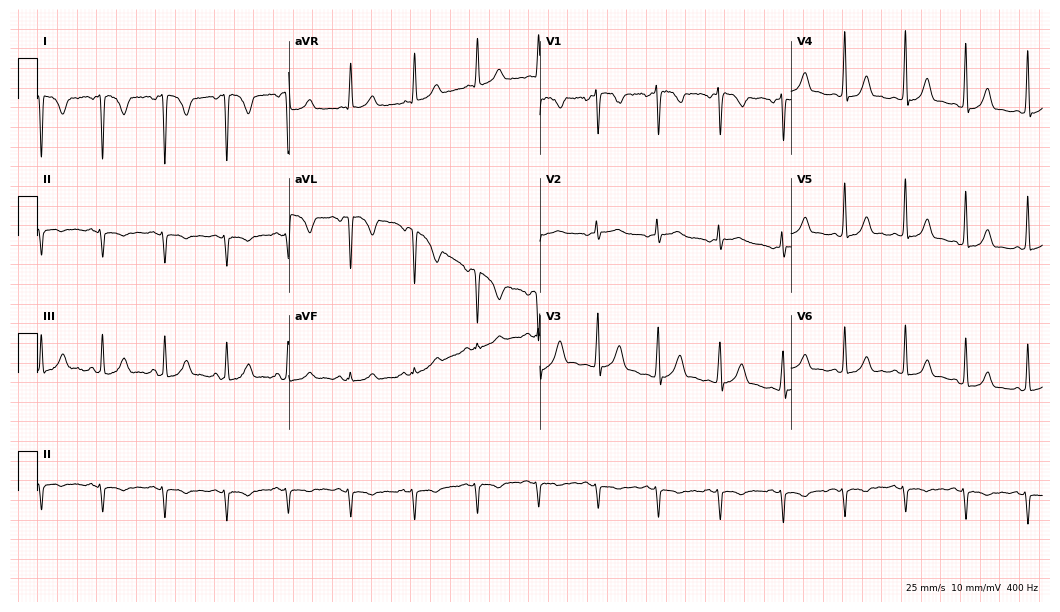
Resting 12-lead electrocardiogram. Patient: a 39-year-old woman. None of these six findings is recorded: first-degree AV block, right bundle branch block, left bundle branch block, sinus bradycardia, atrial fibrillation, sinus tachycardia. Other findings, if any, are not listed.